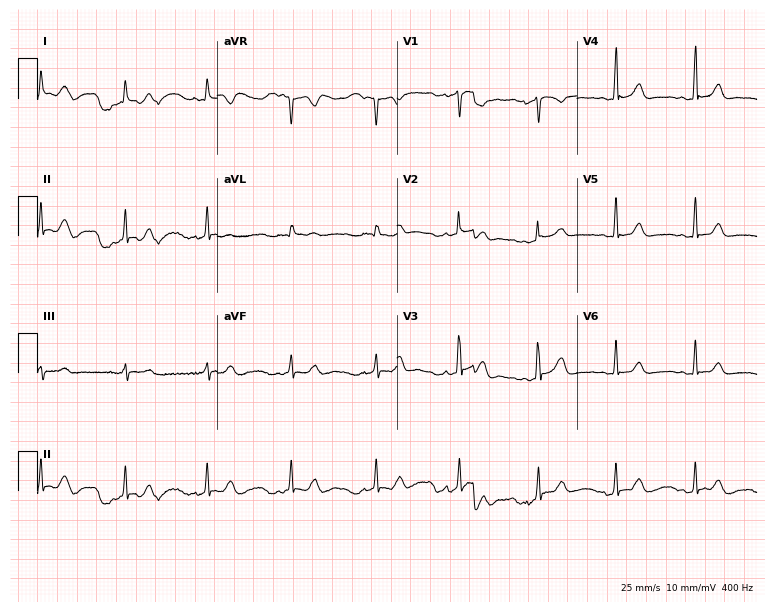
12-lead ECG from a 19-year-old female patient (7.3-second recording at 400 Hz). No first-degree AV block, right bundle branch block (RBBB), left bundle branch block (LBBB), sinus bradycardia, atrial fibrillation (AF) or sinus tachycardia recorded for this tracing. Only these six findings were labelled.